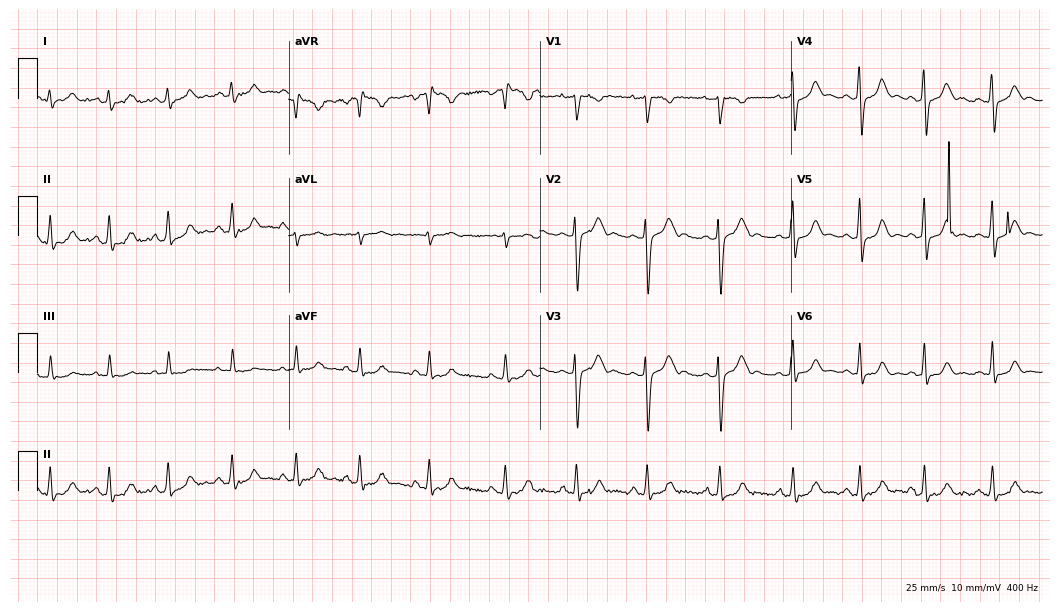
Electrocardiogram (10.2-second recording at 400 Hz), a woman, 22 years old. Of the six screened findings (first-degree AV block, right bundle branch block, left bundle branch block, sinus bradycardia, atrial fibrillation, sinus tachycardia), none is recorded. Findings outside these six are not listed.